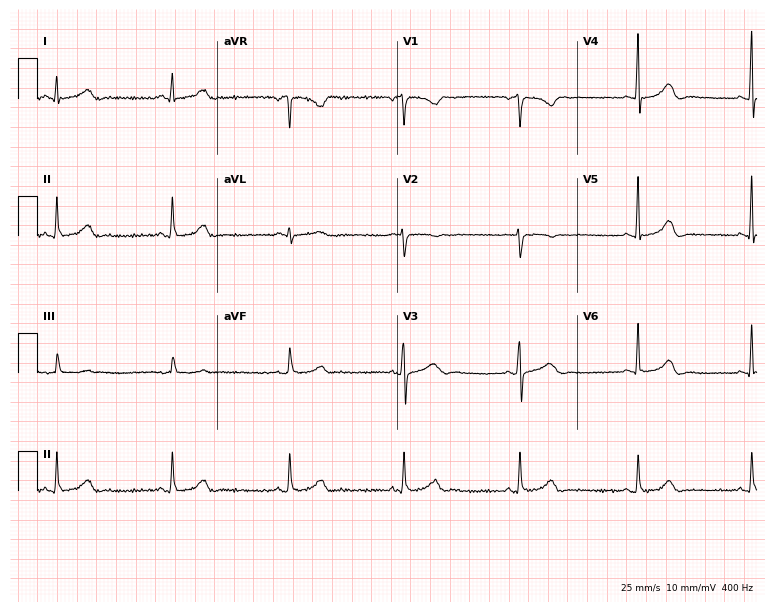
12-lead ECG from a female, 41 years old. Findings include sinus bradycardia (a sinus rate of 50 beats per minute or less).